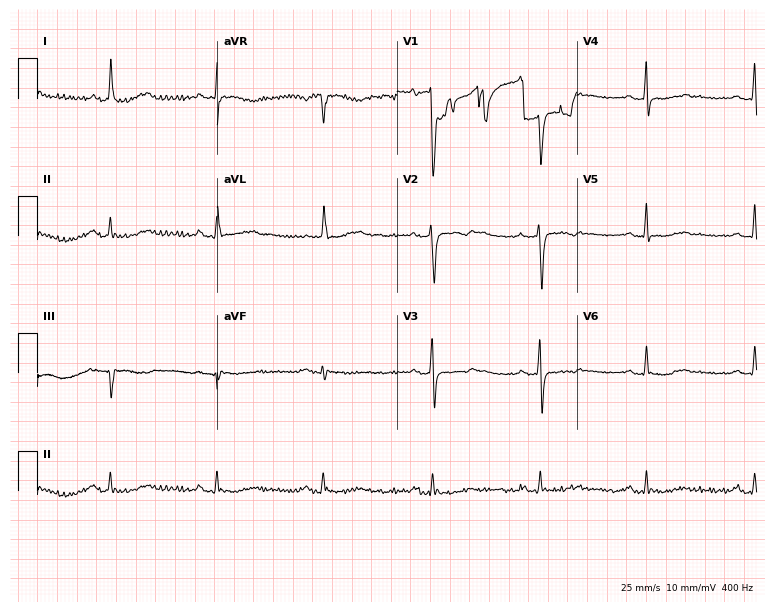
ECG (7.3-second recording at 400 Hz) — a female, 80 years old. Screened for six findings — first-degree AV block, right bundle branch block (RBBB), left bundle branch block (LBBB), sinus bradycardia, atrial fibrillation (AF), sinus tachycardia — none is recorded.